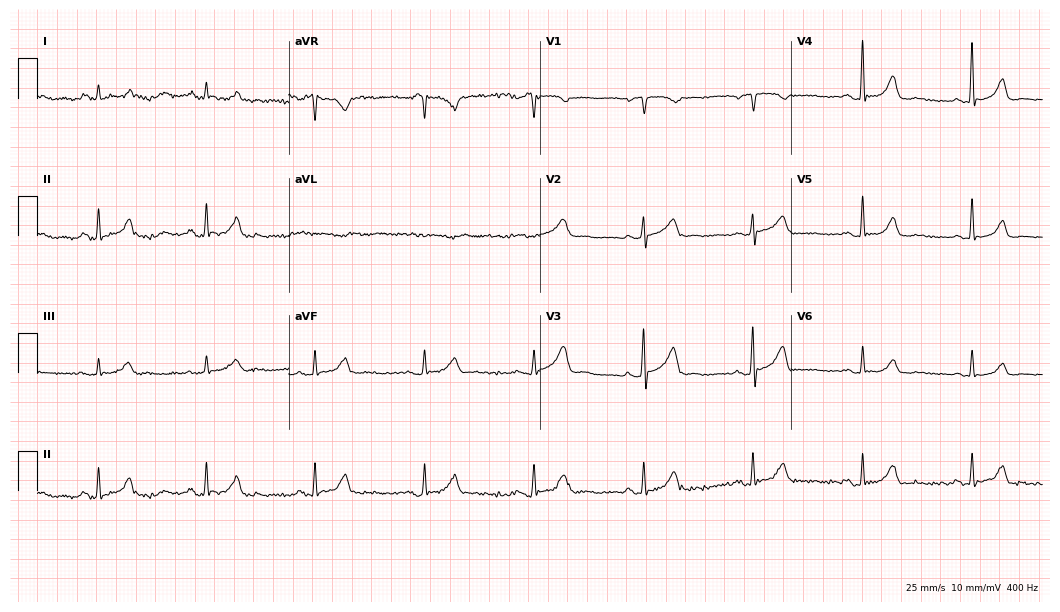
12-lead ECG from a 74-year-old male patient (10.2-second recording at 400 Hz). Recorded interpretation: within normal limits.